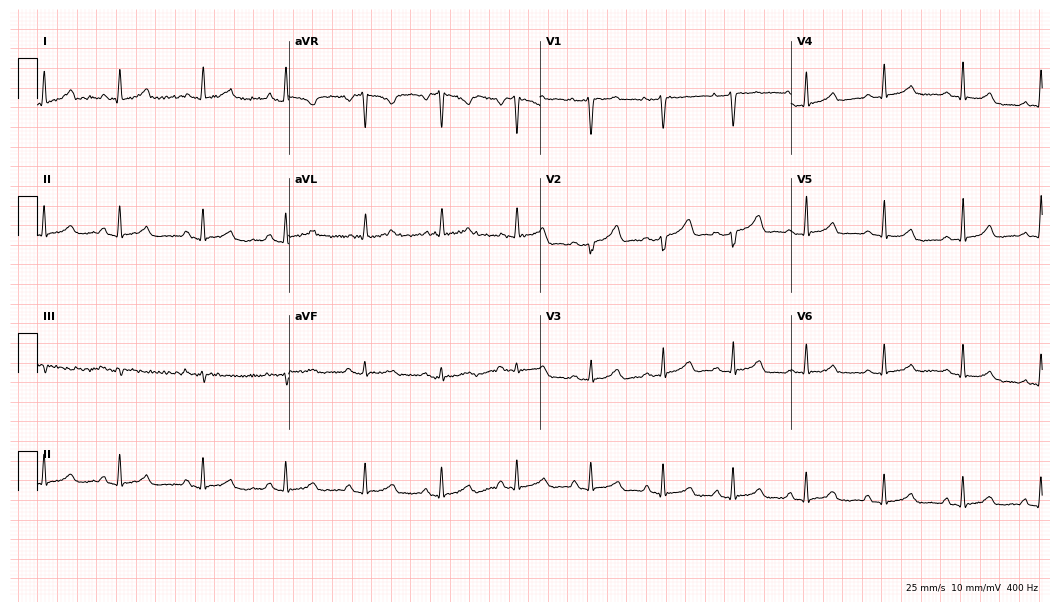
Resting 12-lead electrocardiogram. Patient: a female, 46 years old. None of these six findings is recorded: first-degree AV block, right bundle branch block, left bundle branch block, sinus bradycardia, atrial fibrillation, sinus tachycardia. Other findings, if any, are not listed.